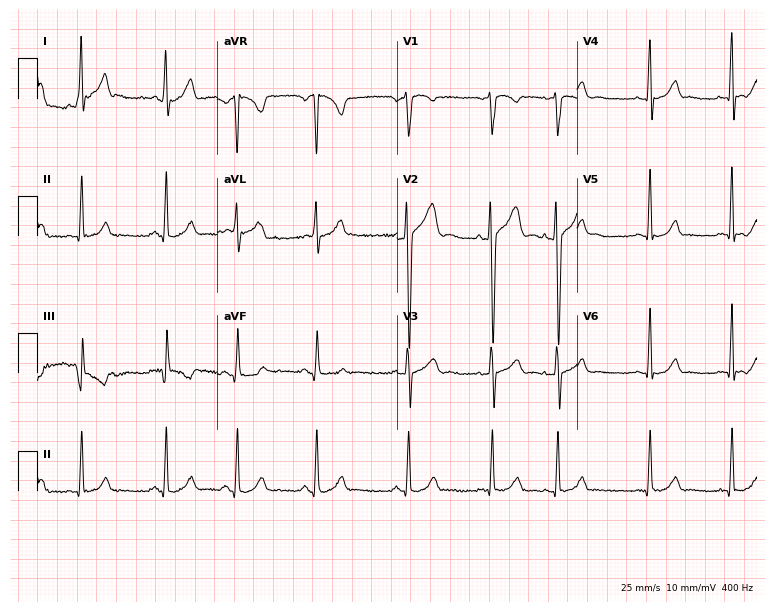
Resting 12-lead electrocardiogram (7.3-second recording at 400 Hz). Patient: a man, 24 years old. None of these six findings is recorded: first-degree AV block, right bundle branch block, left bundle branch block, sinus bradycardia, atrial fibrillation, sinus tachycardia.